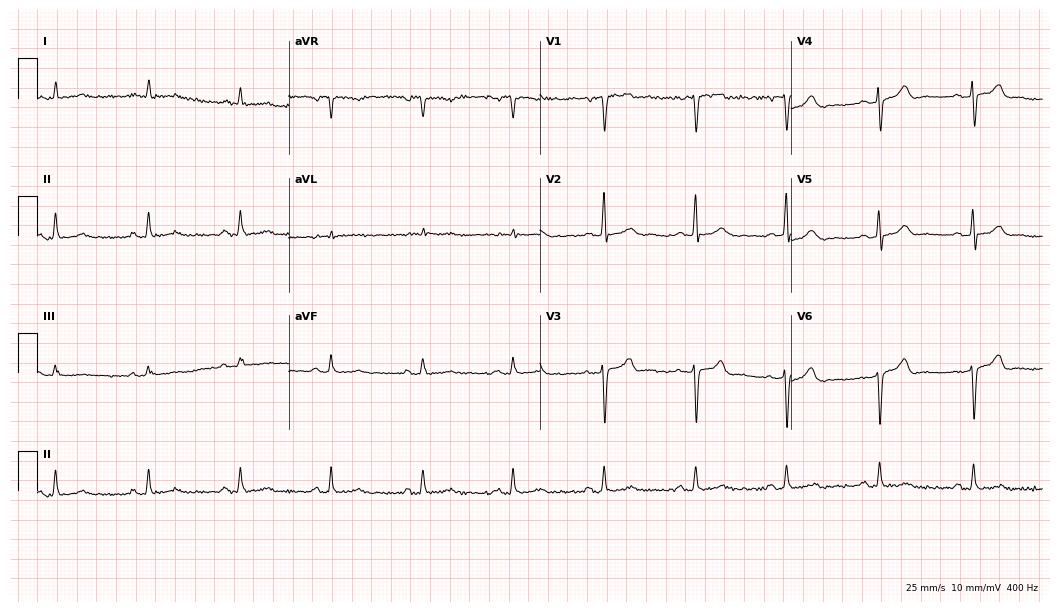
12-lead ECG from a 53-year-old male. Recorded interpretation: within normal limits.